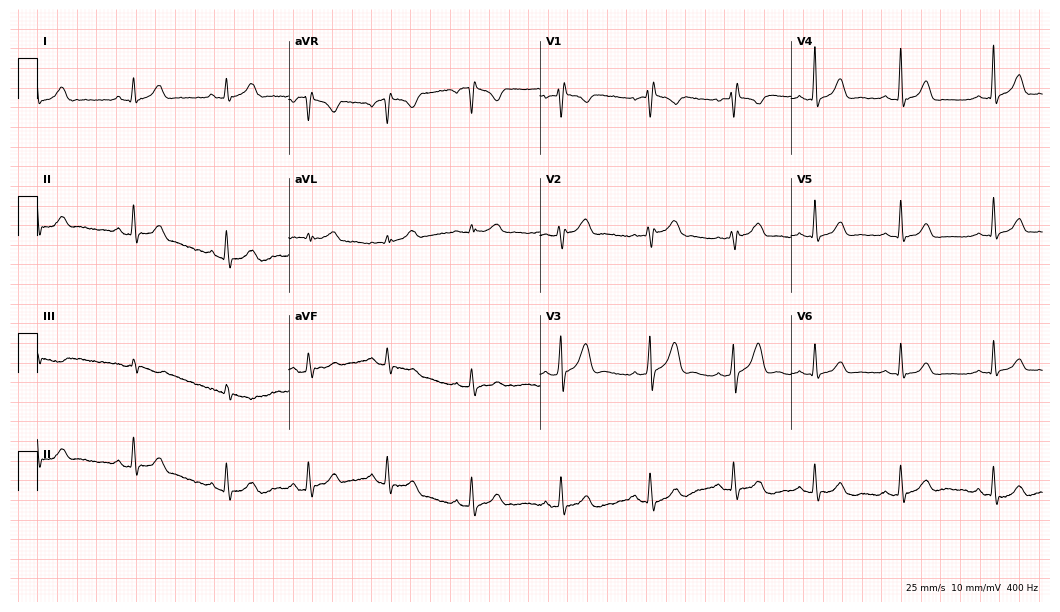
12-lead ECG from a female patient, 25 years old. Screened for six findings — first-degree AV block, right bundle branch block, left bundle branch block, sinus bradycardia, atrial fibrillation, sinus tachycardia — none is recorded.